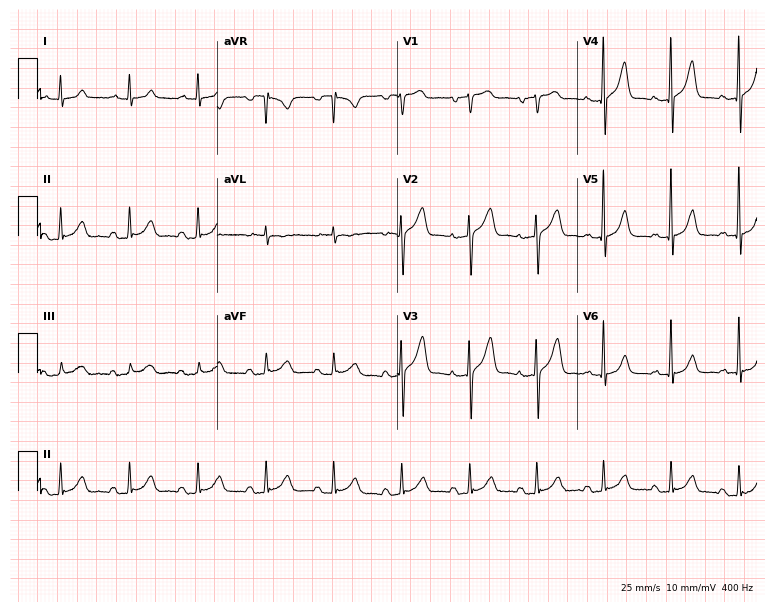
Resting 12-lead electrocardiogram (7.3-second recording at 400 Hz). Patient: a 62-year-old male. None of these six findings is recorded: first-degree AV block, right bundle branch block (RBBB), left bundle branch block (LBBB), sinus bradycardia, atrial fibrillation (AF), sinus tachycardia.